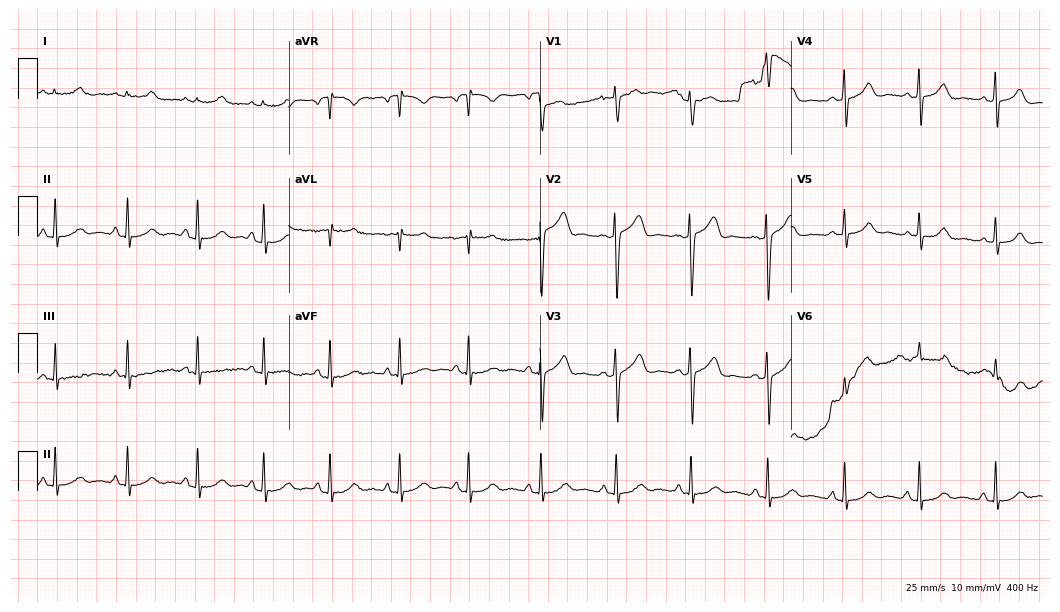
12-lead ECG from a woman, 35 years old (10.2-second recording at 400 Hz). Recorded interpretation: within normal limits.